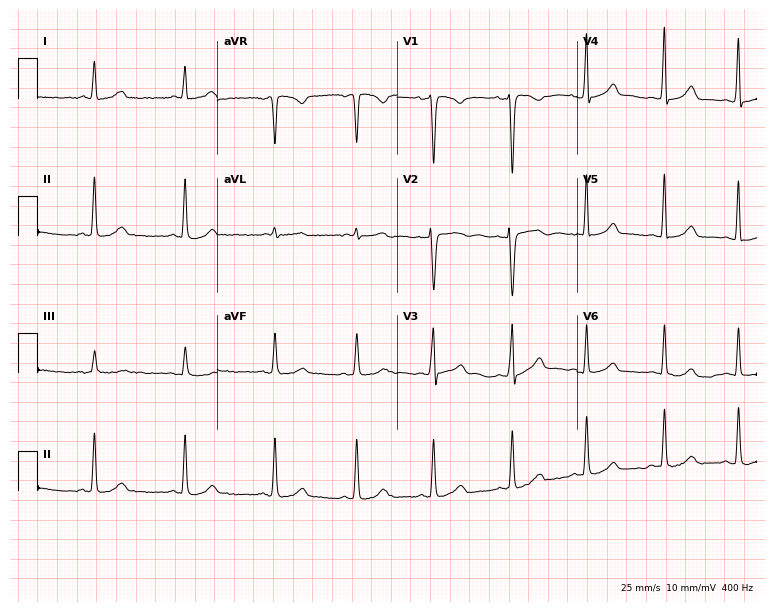
12-lead ECG from a female patient, 29 years old (7.3-second recording at 400 Hz). No first-degree AV block, right bundle branch block (RBBB), left bundle branch block (LBBB), sinus bradycardia, atrial fibrillation (AF) or sinus tachycardia recorded for this tracing. Only these six findings were labelled.